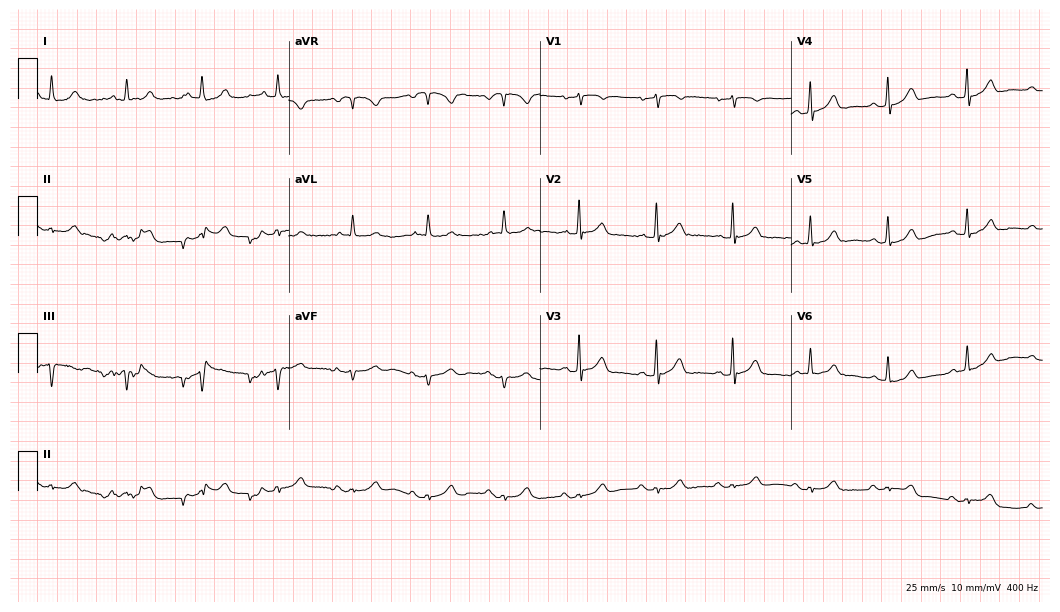
Electrocardiogram (10.2-second recording at 400 Hz), a man, 72 years old. Of the six screened findings (first-degree AV block, right bundle branch block, left bundle branch block, sinus bradycardia, atrial fibrillation, sinus tachycardia), none is recorded. Findings outside these six are not listed.